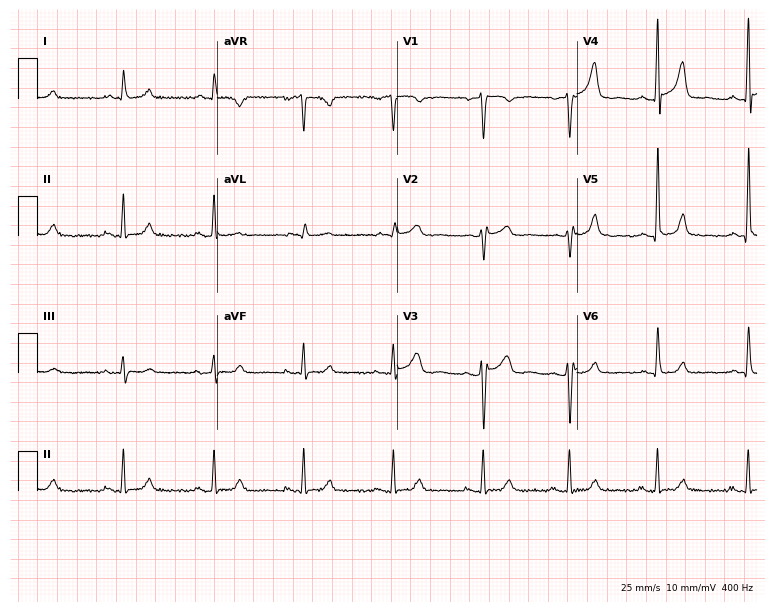
Resting 12-lead electrocardiogram. Patient: a 51-year-old man. Read as a normal ECG.